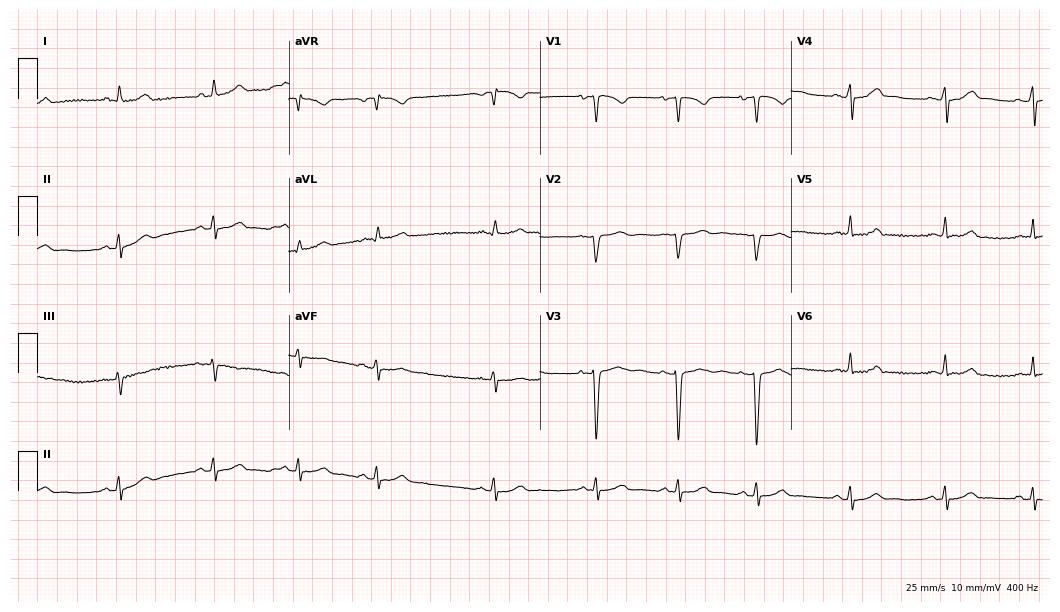
12-lead ECG from a 35-year-old female patient. Screened for six findings — first-degree AV block, right bundle branch block, left bundle branch block, sinus bradycardia, atrial fibrillation, sinus tachycardia — none is recorded.